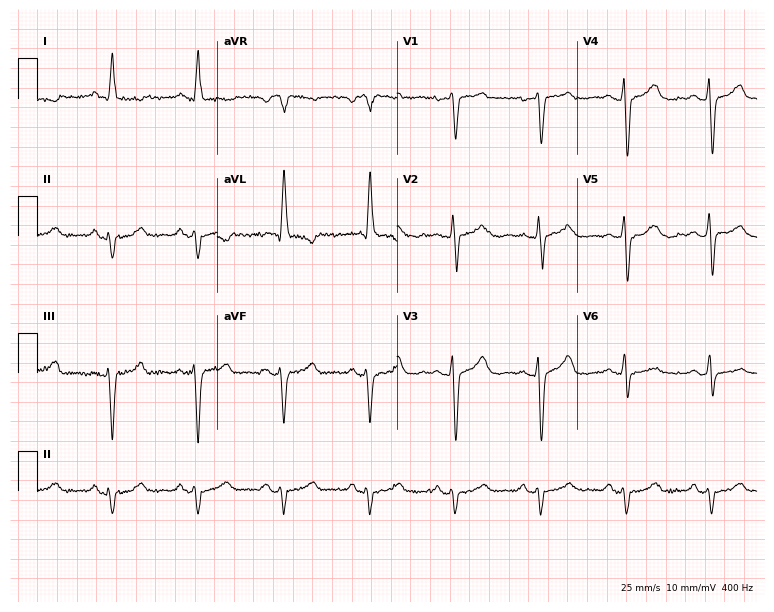
Electrocardiogram (7.3-second recording at 400 Hz), a 55-year-old female patient. Of the six screened findings (first-degree AV block, right bundle branch block, left bundle branch block, sinus bradycardia, atrial fibrillation, sinus tachycardia), none is recorded.